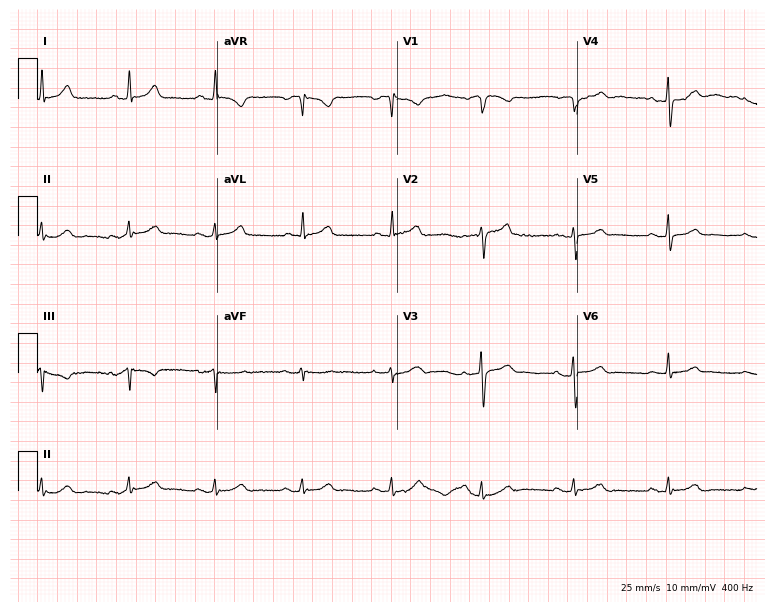
12-lead ECG from a 64-year-old man. Labelled as a normal ECG.